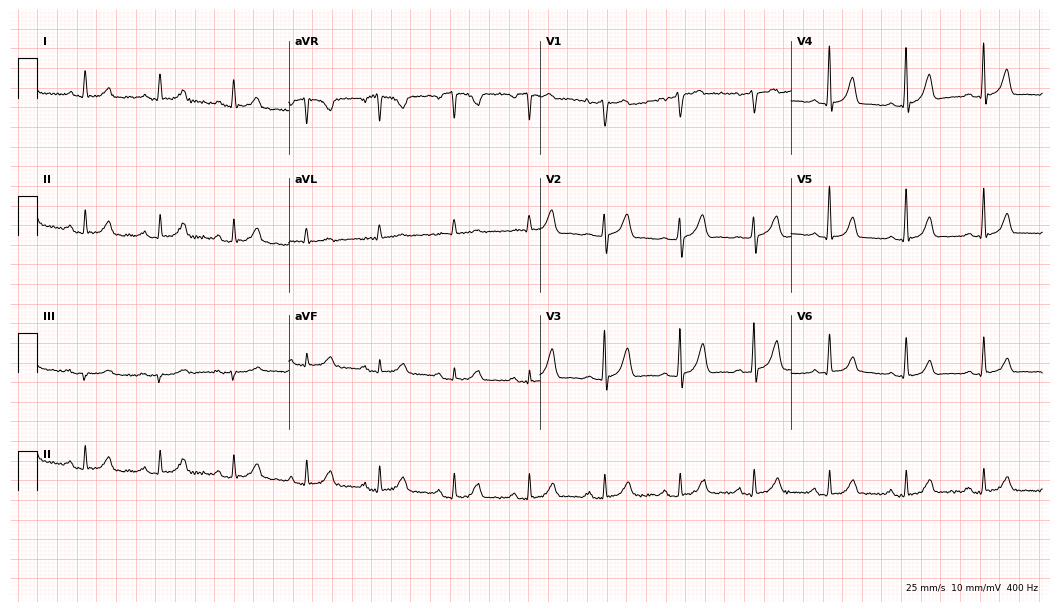
12-lead ECG (10.2-second recording at 400 Hz) from a female, 59 years old. Labelled as a normal ECG.